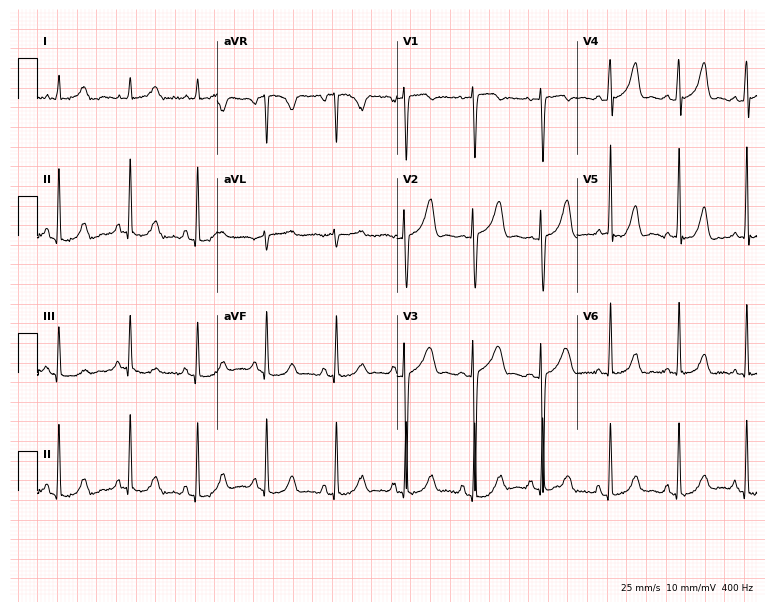
Standard 12-lead ECG recorded from a female patient, 35 years old (7.3-second recording at 400 Hz). Read as a normal ECG.